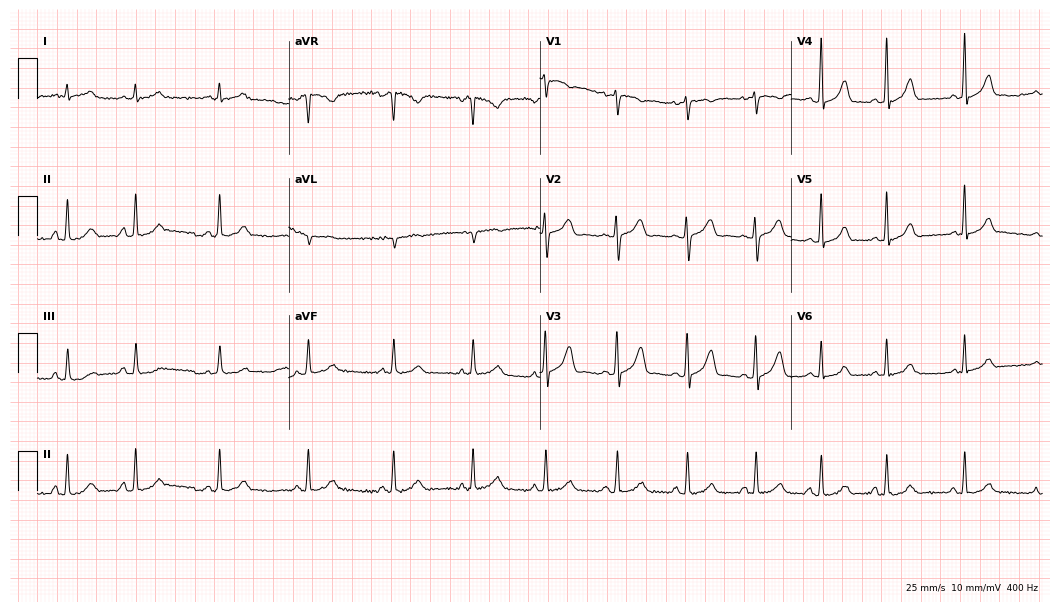
12-lead ECG from a female, 31 years old (10.2-second recording at 400 Hz). Recorded interpretation: within normal limits.